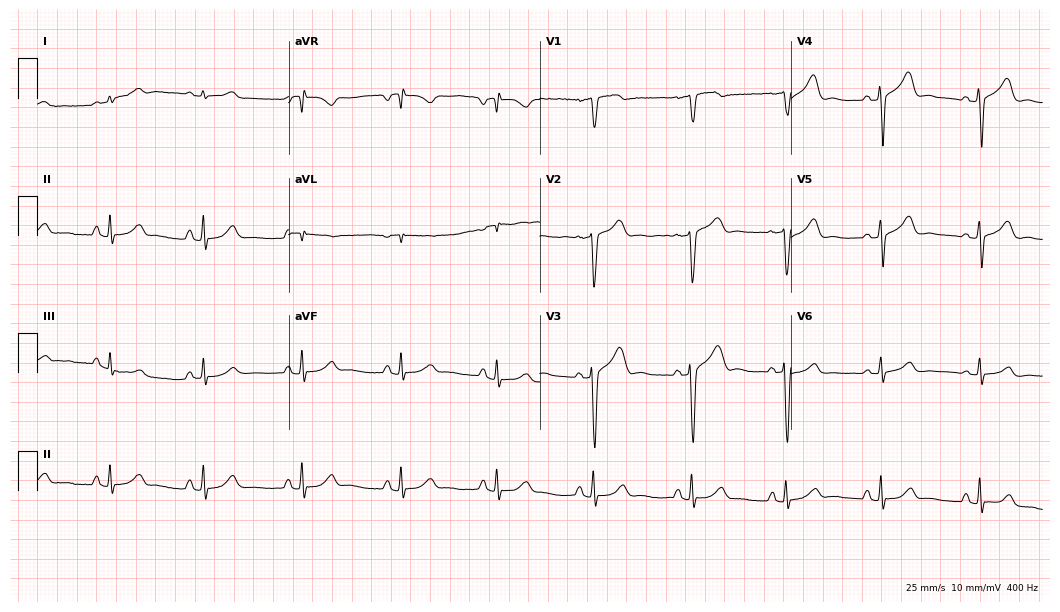
ECG — a 57-year-old man. Labelled as a normal ECG.